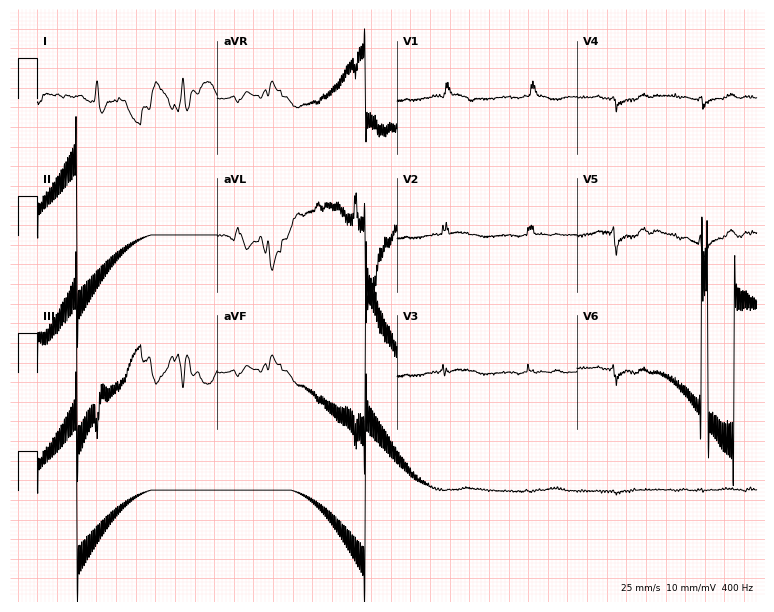
12-lead ECG from a 77-year-old woman. No first-degree AV block, right bundle branch block, left bundle branch block, sinus bradycardia, atrial fibrillation or sinus tachycardia recorded for this tracing. Other findings, if any, are not listed.